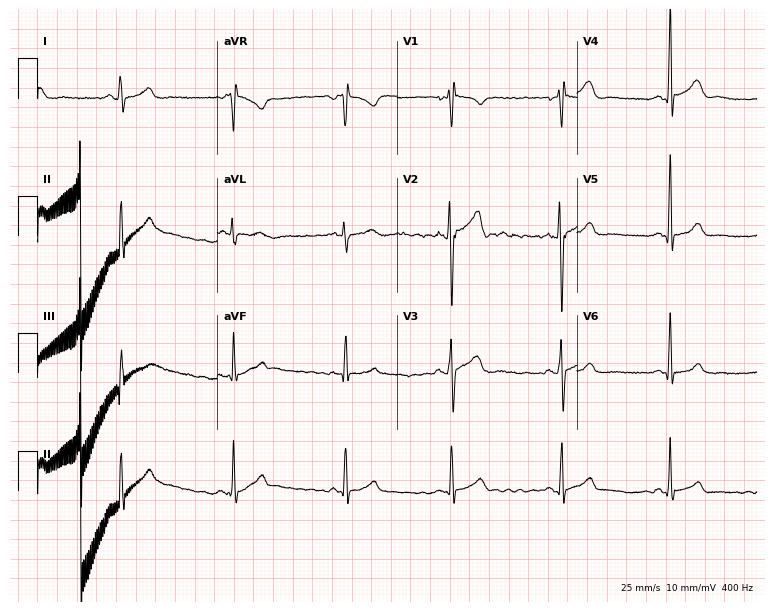
Resting 12-lead electrocardiogram. Patient: a male, 22 years old. Read as a normal ECG.